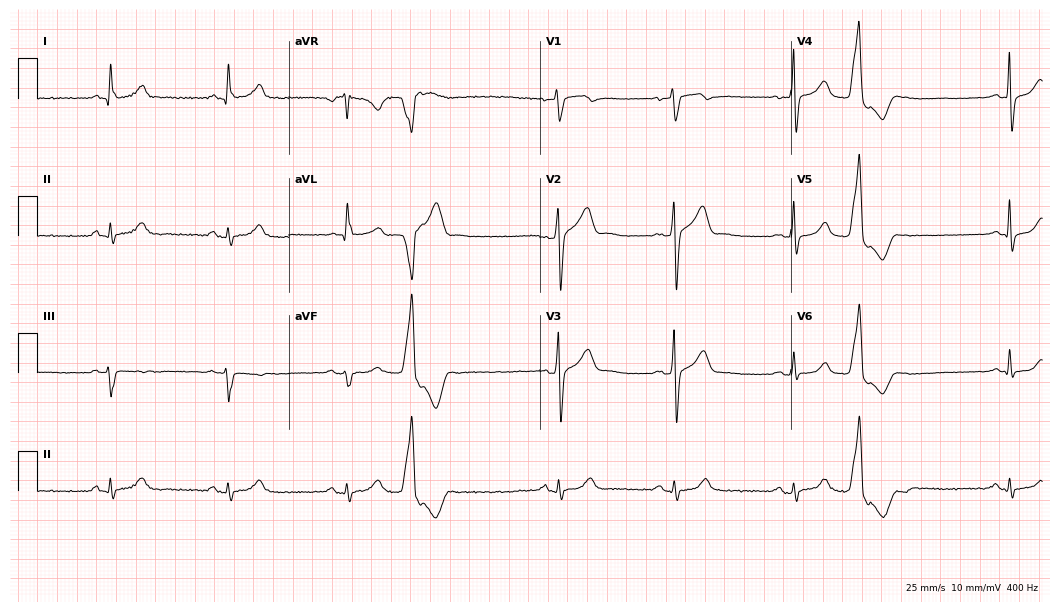
Standard 12-lead ECG recorded from a 56-year-old male patient (10.2-second recording at 400 Hz). None of these six findings is recorded: first-degree AV block, right bundle branch block, left bundle branch block, sinus bradycardia, atrial fibrillation, sinus tachycardia.